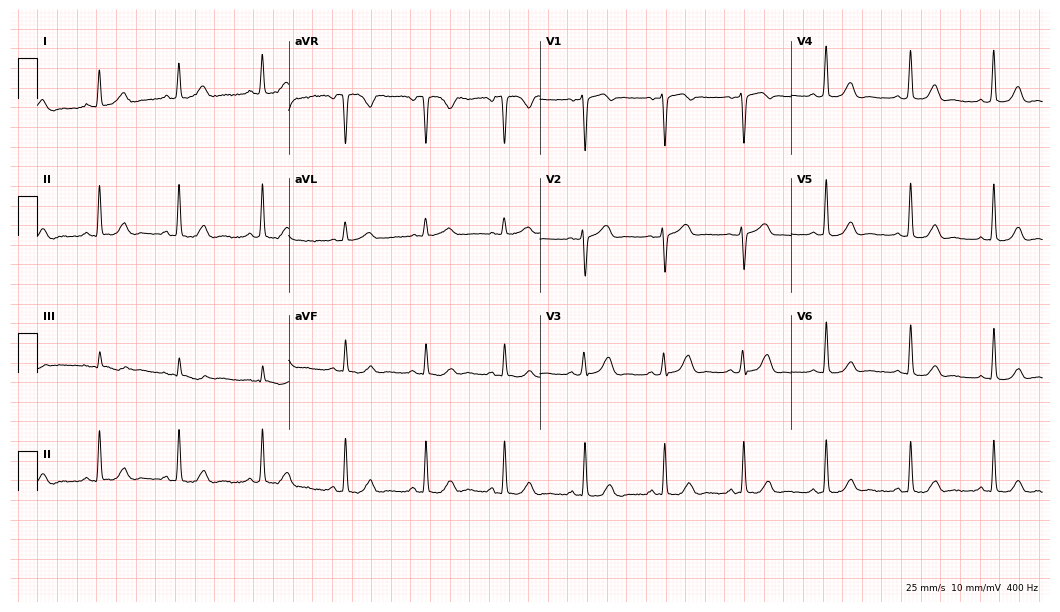
12-lead ECG from a 40-year-old female patient. No first-degree AV block, right bundle branch block, left bundle branch block, sinus bradycardia, atrial fibrillation or sinus tachycardia recorded for this tracing. Findings outside these six are not listed.